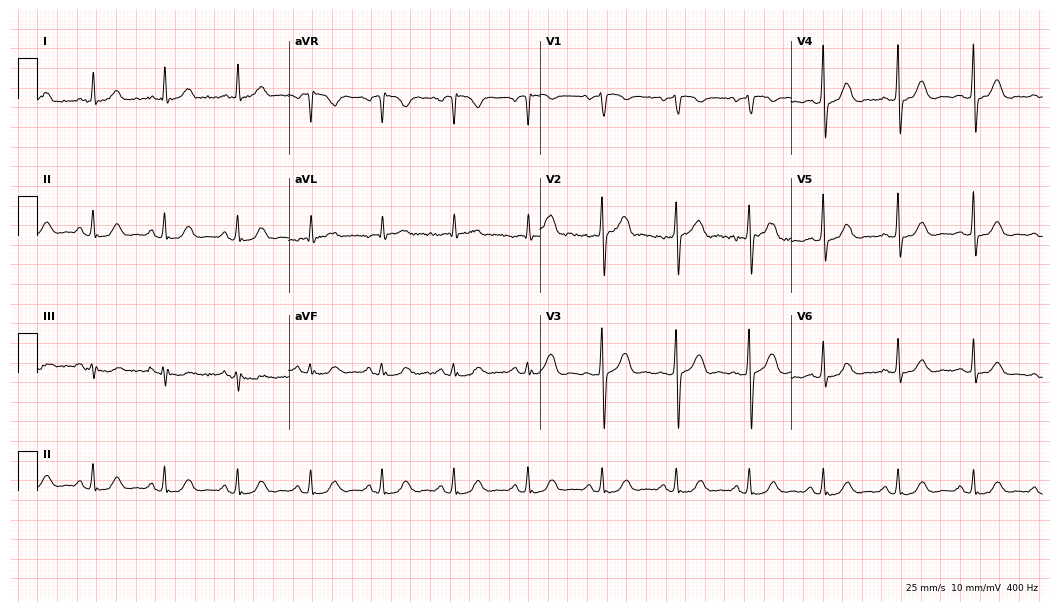
12-lead ECG (10.2-second recording at 400 Hz) from a female patient, 71 years old. Labelled as a normal ECG.